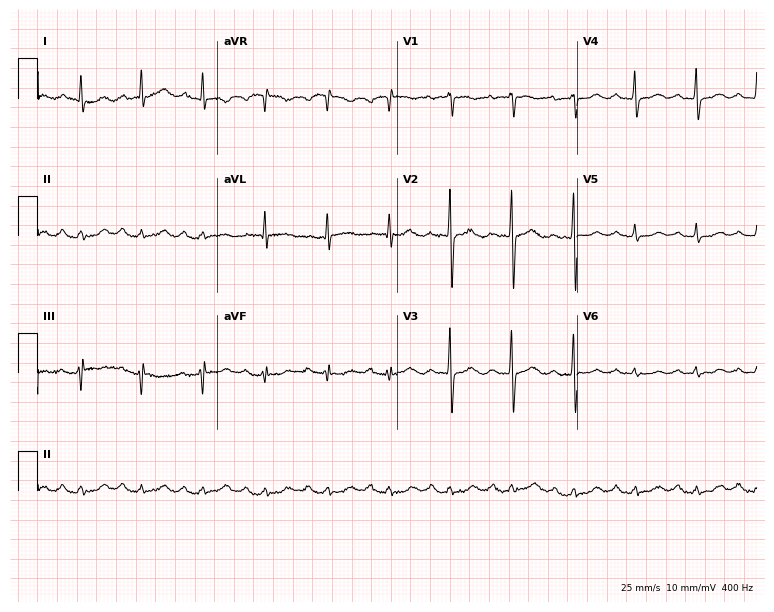
Standard 12-lead ECG recorded from a 79-year-old female. None of these six findings is recorded: first-degree AV block, right bundle branch block, left bundle branch block, sinus bradycardia, atrial fibrillation, sinus tachycardia.